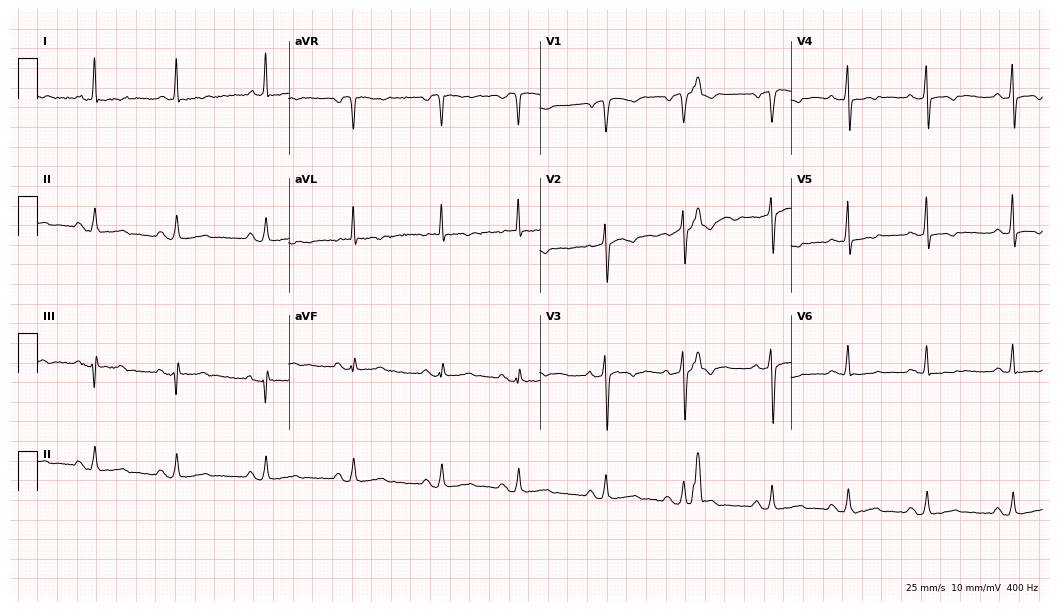
Resting 12-lead electrocardiogram. Patient: an 81-year-old male. None of these six findings is recorded: first-degree AV block, right bundle branch block, left bundle branch block, sinus bradycardia, atrial fibrillation, sinus tachycardia.